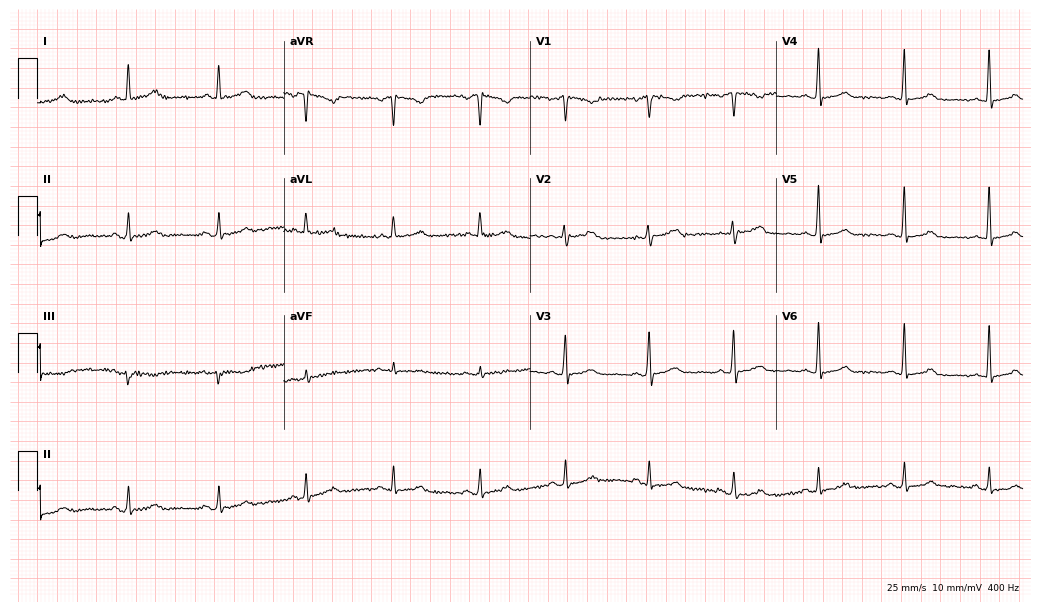
ECG (10-second recording at 400 Hz) — a 46-year-old female patient. Labelled as a normal ECG.